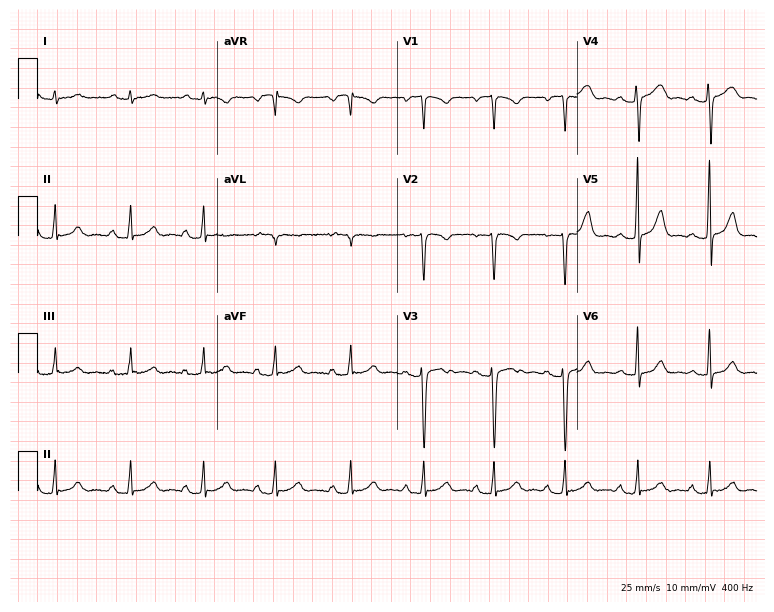
12-lead ECG from a female patient, 33 years old (7.3-second recording at 400 Hz). No first-degree AV block, right bundle branch block (RBBB), left bundle branch block (LBBB), sinus bradycardia, atrial fibrillation (AF) or sinus tachycardia recorded for this tracing.